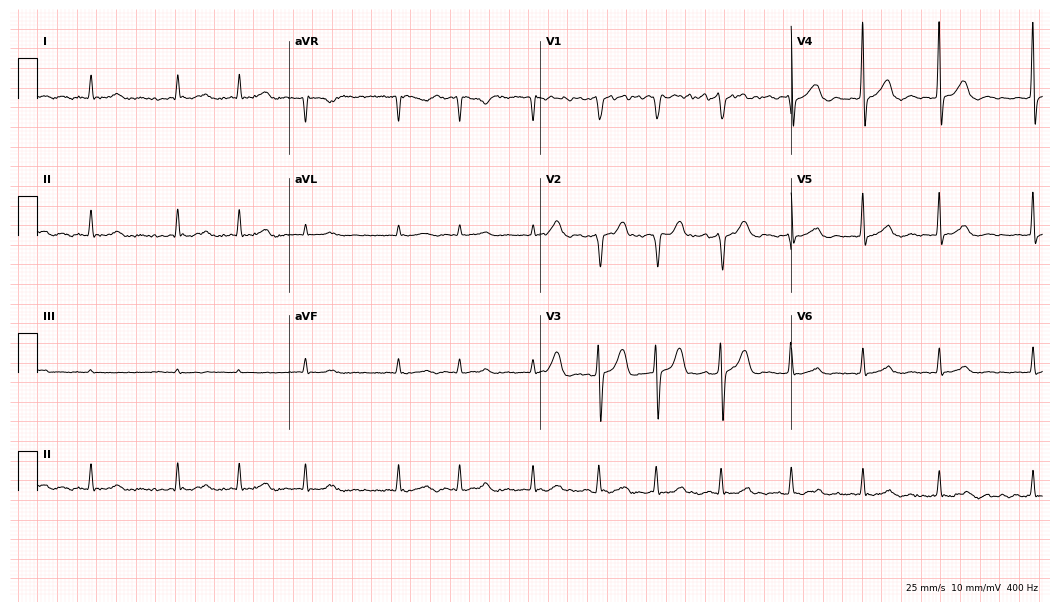
12-lead ECG (10.2-second recording at 400 Hz) from a male patient, 75 years old. Findings include atrial fibrillation.